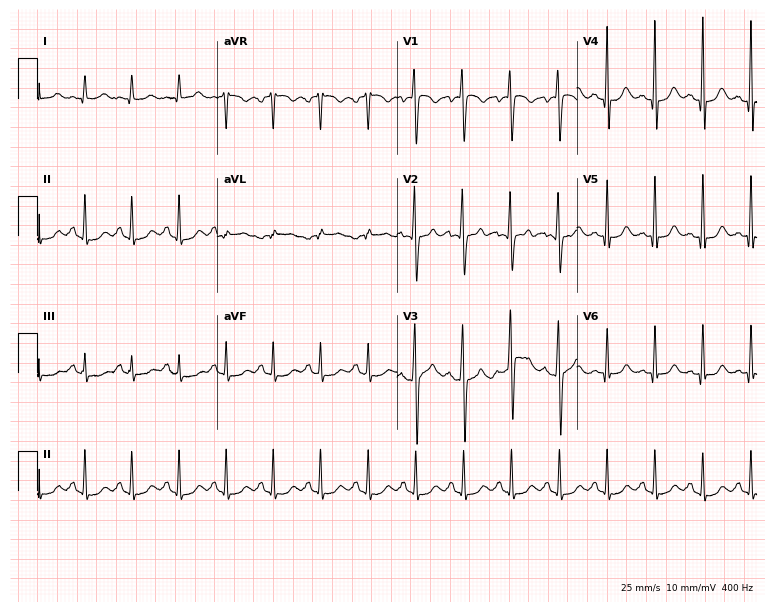
ECG — a 27-year-old man. Findings include sinus tachycardia (a sinus rate of 100 beats per minute or more).